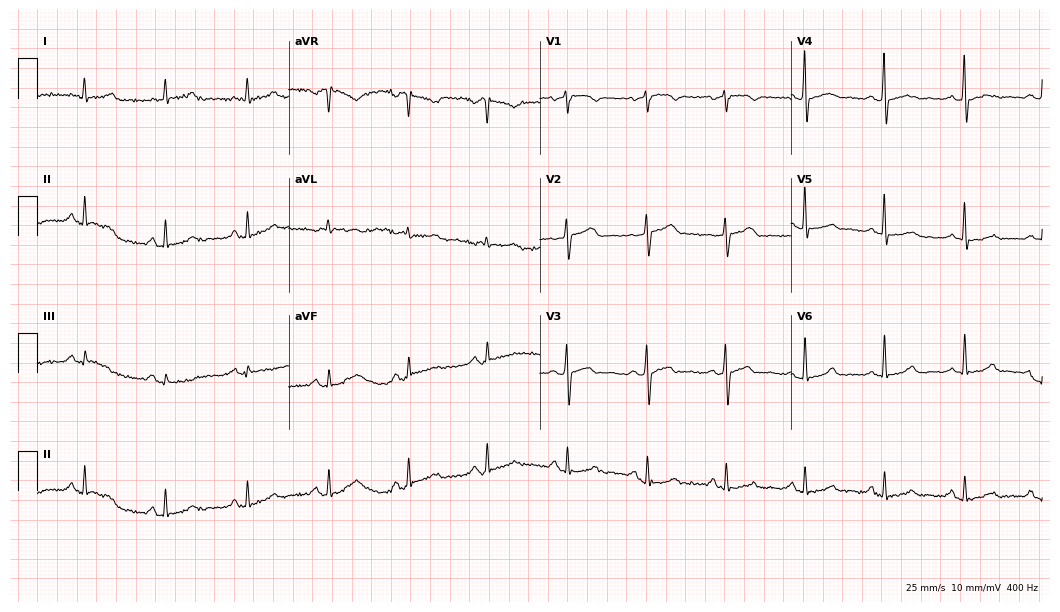
Electrocardiogram, a woman, 65 years old. Overall reading on record: normal ECG.